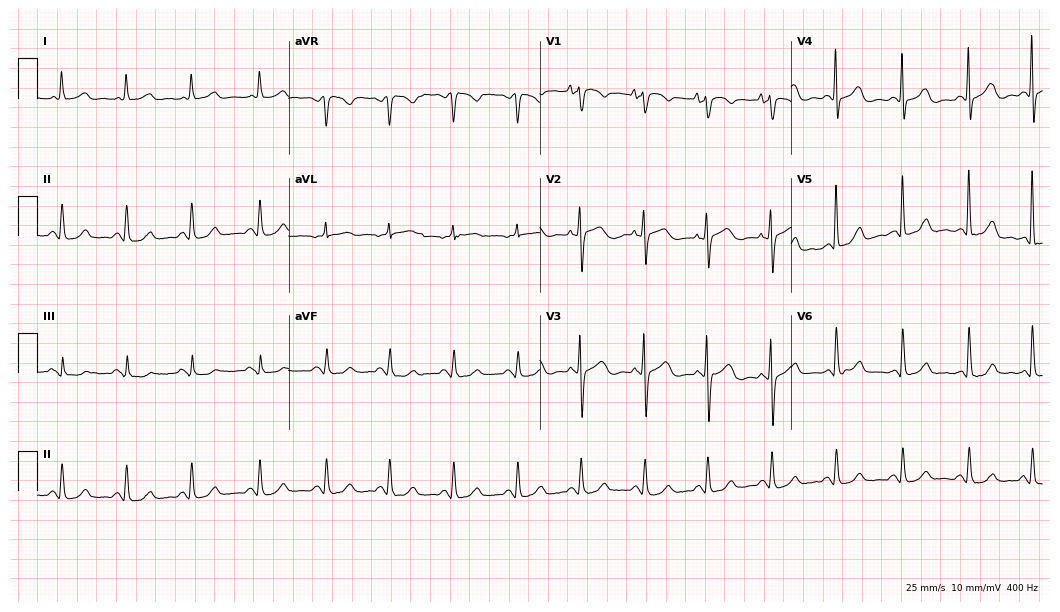
Resting 12-lead electrocardiogram (10.2-second recording at 400 Hz). Patient: a 79-year-old female. Read as a normal ECG.